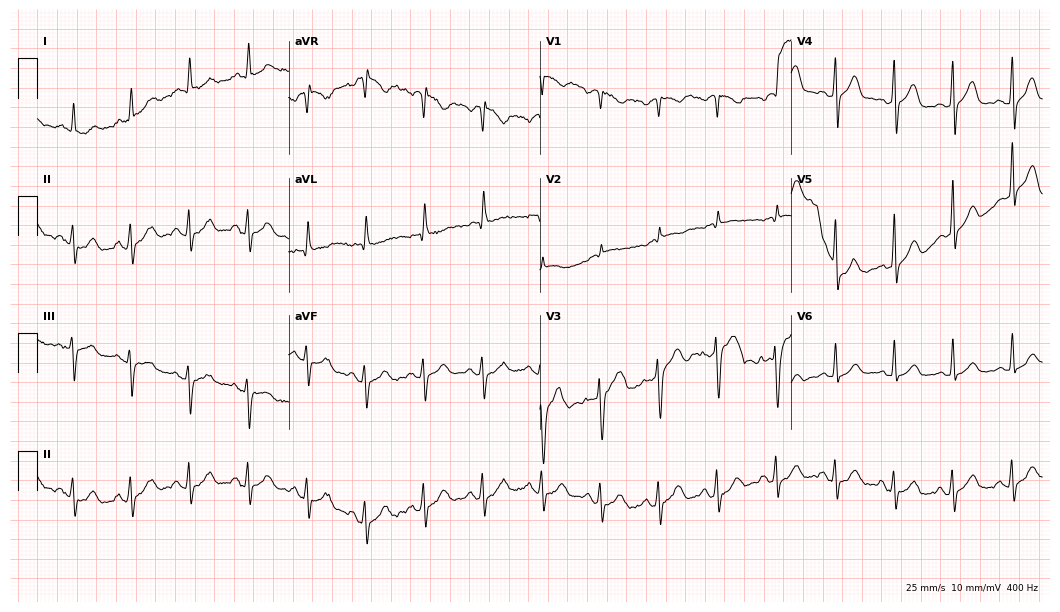
12-lead ECG from a 68-year-old male patient. Screened for six findings — first-degree AV block, right bundle branch block (RBBB), left bundle branch block (LBBB), sinus bradycardia, atrial fibrillation (AF), sinus tachycardia — none is recorded.